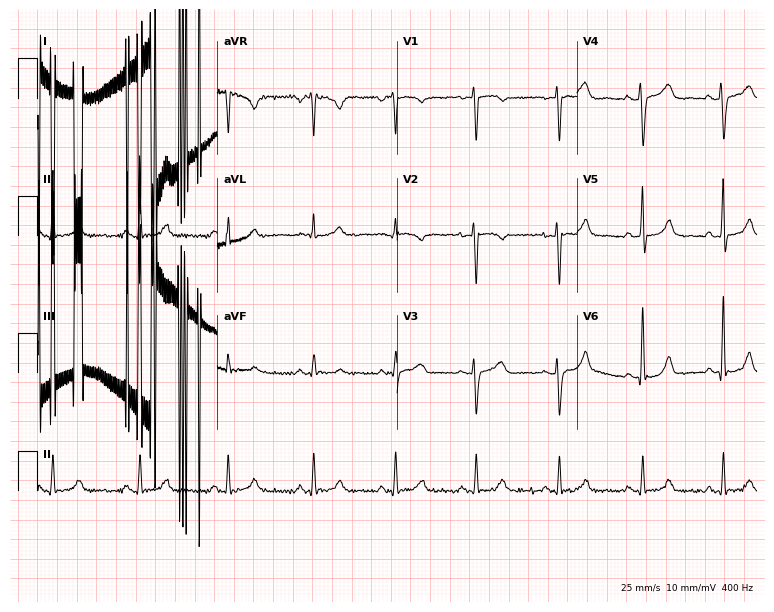
12-lead ECG (7.3-second recording at 400 Hz) from a 48-year-old woman. Screened for six findings — first-degree AV block, right bundle branch block, left bundle branch block, sinus bradycardia, atrial fibrillation, sinus tachycardia — none is recorded.